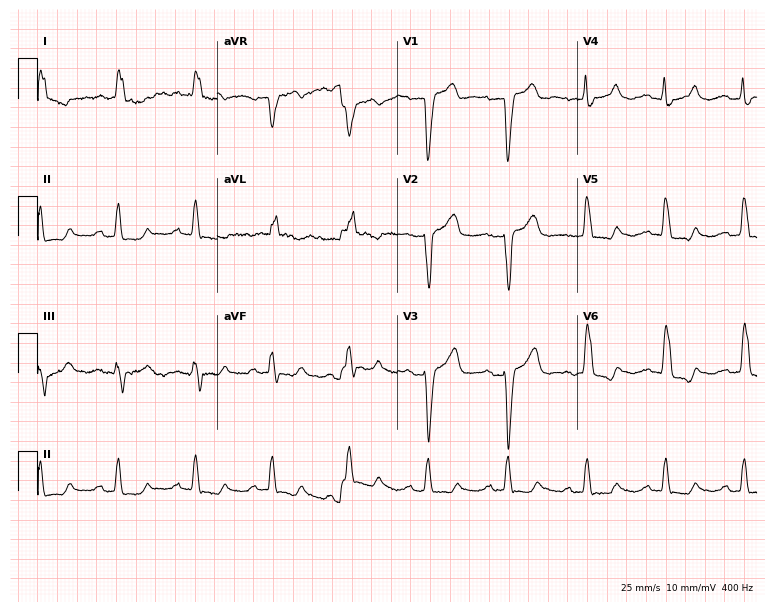
Electrocardiogram (7.3-second recording at 400 Hz), a female patient, 74 years old. Interpretation includes left bundle branch block.